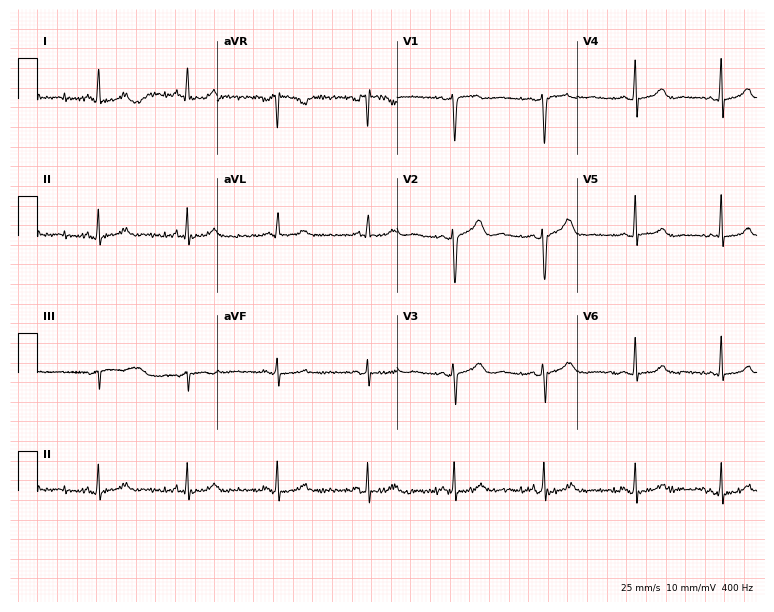
12-lead ECG from a 26-year-old woman. Screened for six findings — first-degree AV block, right bundle branch block (RBBB), left bundle branch block (LBBB), sinus bradycardia, atrial fibrillation (AF), sinus tachycardia — none is recorded. Other findings, if any, are not listed.